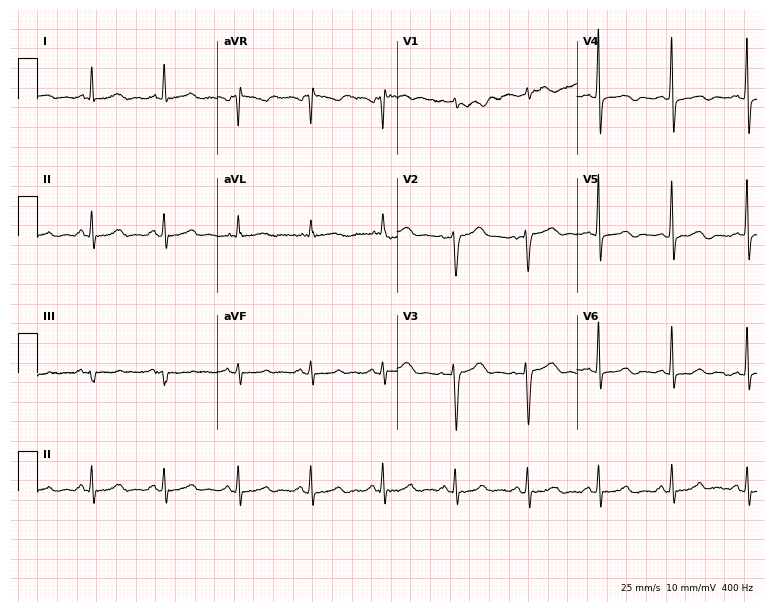
Standard 12-lead ECG recorded from a 42-year-old female patient (7.3-second recording at 400 Hz). None of these six findings is recorded: first-degree AV block, right bundle branch block (RBBB), left bundle branch block (LBBB), sinus bradycardia, atrial fibrillation (AF), sinus tachycardia.